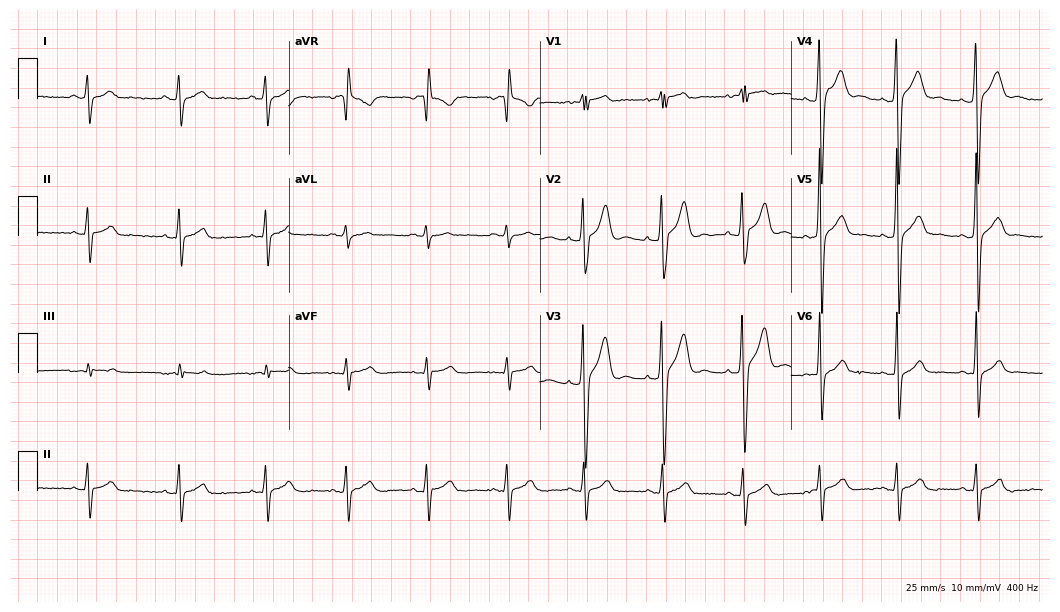
Standard 12-lead ECG recorded from an 18-year-old man. None of these six findings is recorded: first-degree AV block, right bundle branch block, left bundle branch block, sinus bradycardia, atrial fibrillation, sinus tachycardia. Other findings, if any, are not listed.